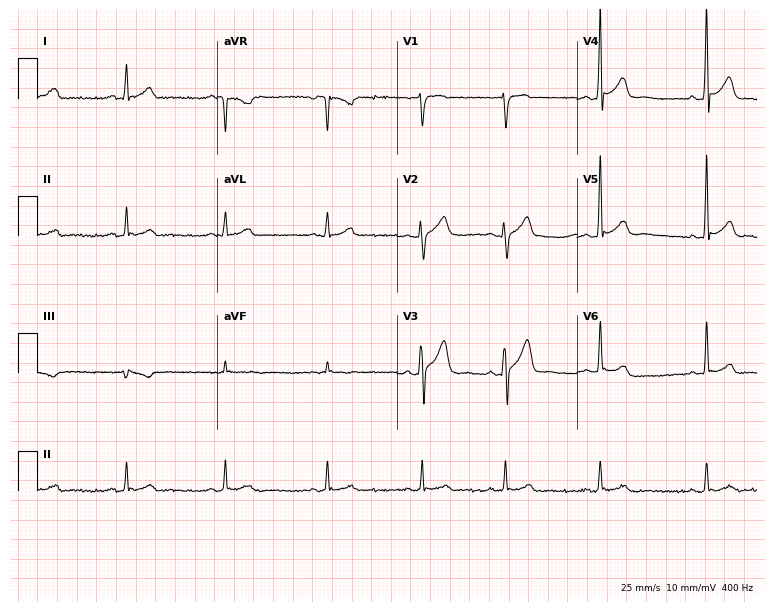
12-lead ECG from a 30-year-old male patient. Recorded interpretation: within normal limits.